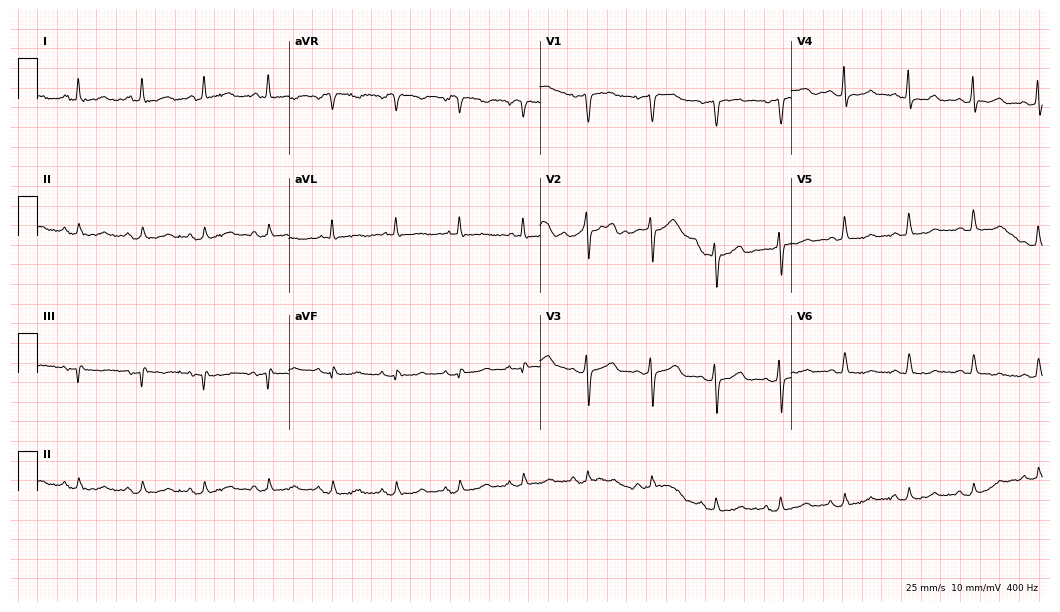
12-lead ECG from a 59-year-old female (10.2-second recording at 400 Hz). No first-degree AV block, right bundle branch block, left bundle branch block, sinus bradycardia, atrial fibrillation or sinus tachycardia recorded for this tracing.